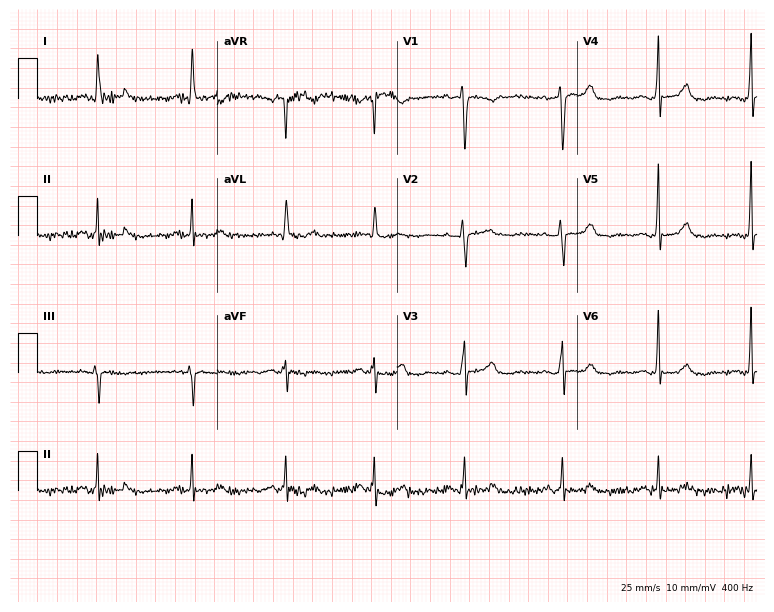
12-lead ECG (7.3-second recording at 400 Hz) from a 62-year-old female patient. Labelled as a normal ECG.